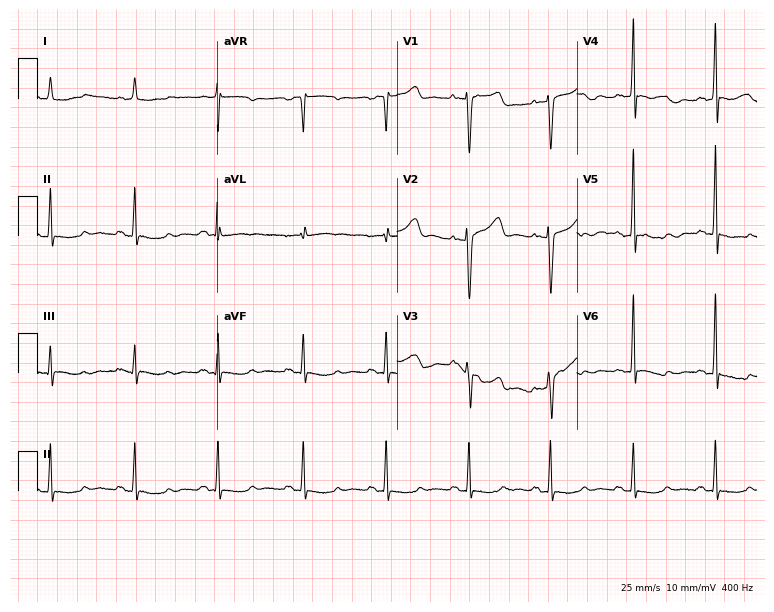
Resting 12-lead electrocardiogram (7.3-second recording at 400 Hz). Patient: a 68-year-old female. None of these six findings is recorded: first-degree AV block, right bundle branch block, left bundle branch block, sinus bradycardia, atrial fibrillation, sinus tachycardia.